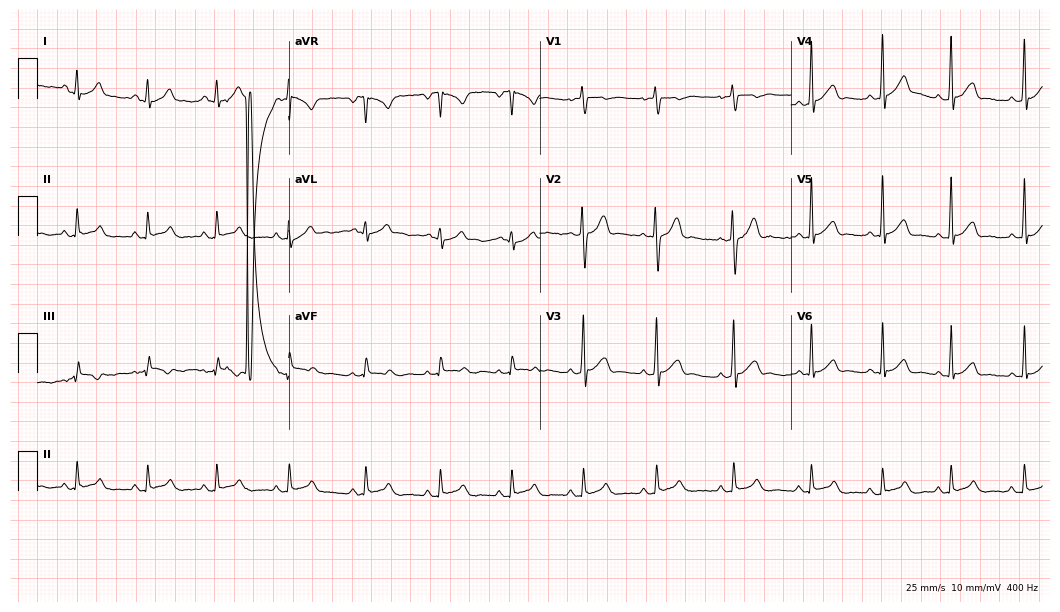
12-lead ECG (10.2-second recording at 400 Hz) from a man, 18 years old. Labelled as a normal ECG.